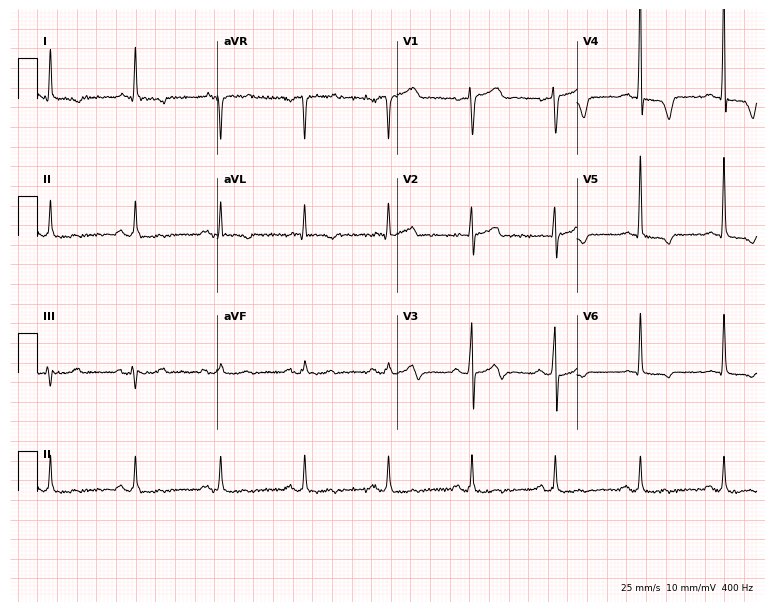
12-lead ECG from a 79-year-old man. No first-degree AV block, right bundle branch block (RBBB), left bundle branch block (LBBB), sinus bradycardia, atrial fibrillation (AF) or sinus tachycardia recorded for this tracing. Only these six findings were labelled.